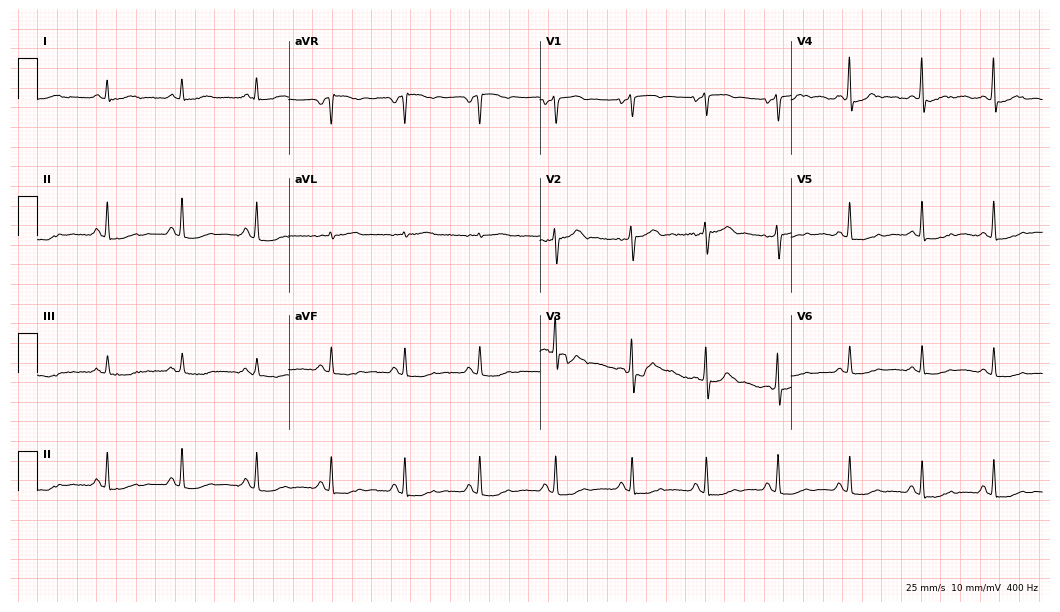
Resting 12-lead electrocardiogram (10.2-second recording at 400 Hz). Patient: a man, 48 years old. None of these six findings is recorded: first-degree AV block, right bundle branch block, left bundle branch block, sinus bradycardia, atrial fibrillation, sinus tachycardia.